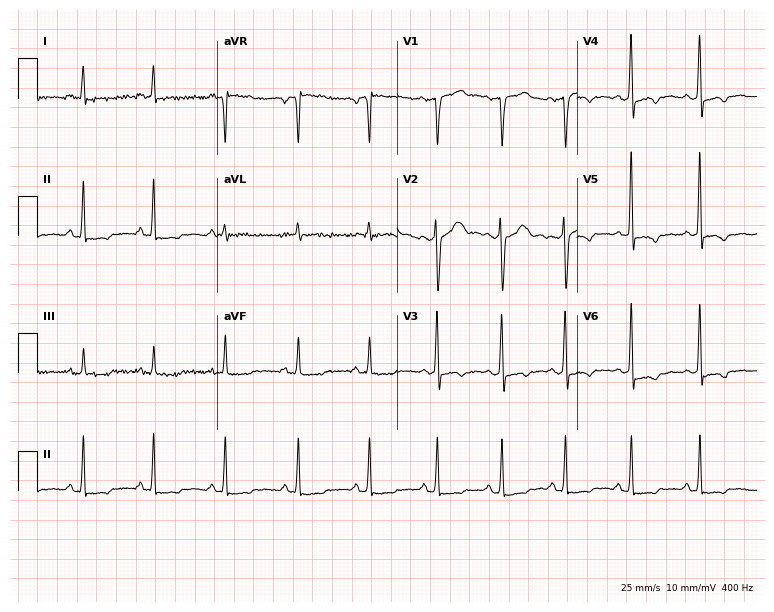
Resting 12-lead electrocardiogram. Patient: a man, 46 years old. None of these six findings is recorded: first-degree AV block, right bundle branch block, left bundle branch block, sinus bradycardia, atrial fibrillation, sinus tachycardia.